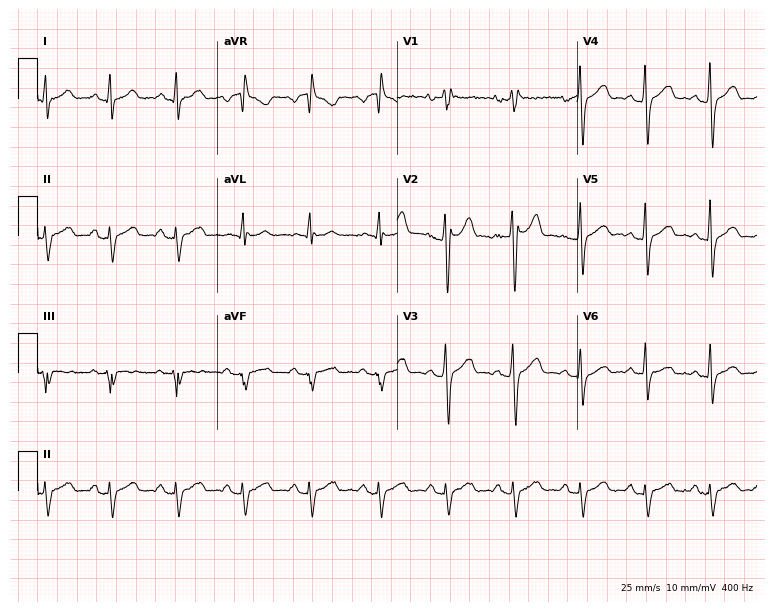
Standard 12-lead ECG recorded from a 28-year-old male patient. None of these six findings is recorded: first-degree AV block, right bundle branch block, left bundle branch block, sinus bradycardia, atrial fibrillation, sinus tachycardia.